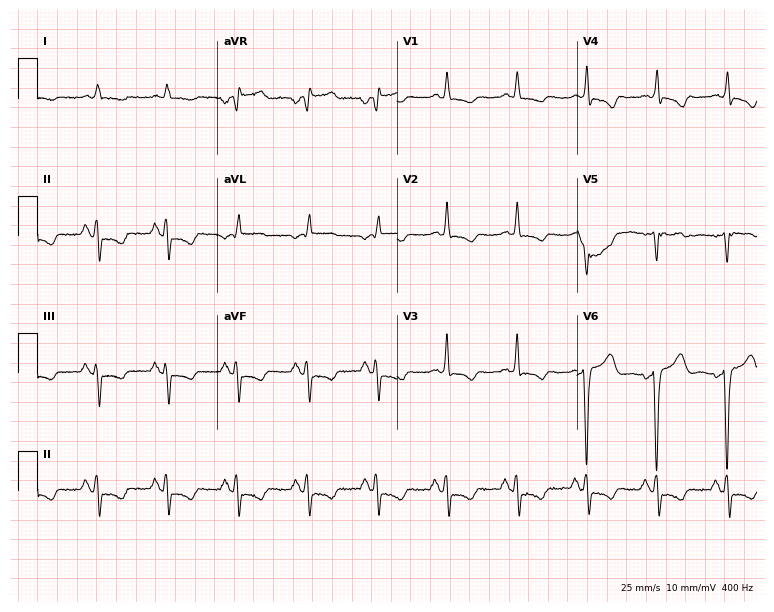
ECG (7.3-second recording at 400 Hz) — an 85-year-old female patient. Screened for six findings — first-degree AV block, right bundle branch block, left bundle branch block, sinus bradycardia, atrial fibrillation, sinus tachycardia — none is recorded. Other findings, if any, are not listed.